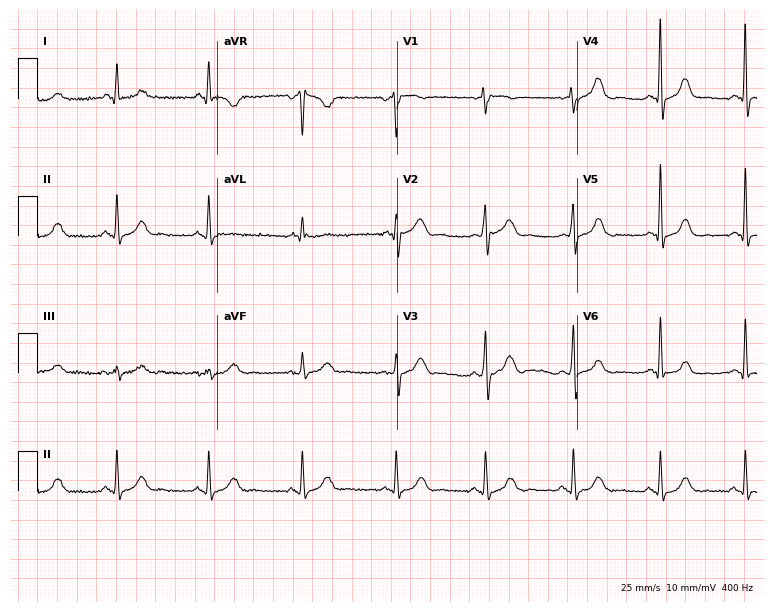
Resting 12-lead electrocardiogram (7.3-second recording at 400 Hz). Patient: a female, 60 years old. Read as a normal ECG.